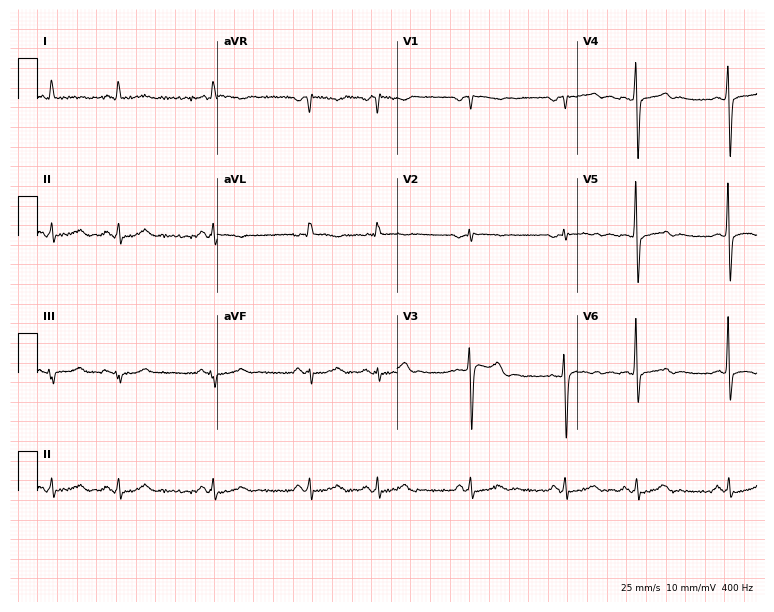
Resting 12-lead electrocardiogram. Patient: a 69-year-old man. None of these six findings is recorded: first-degree AV block, right bundle branch block, left bundle branch block, sinus bradycardia, atrial fibrillation, sinus tachycardia. Only these six findings were labelled.